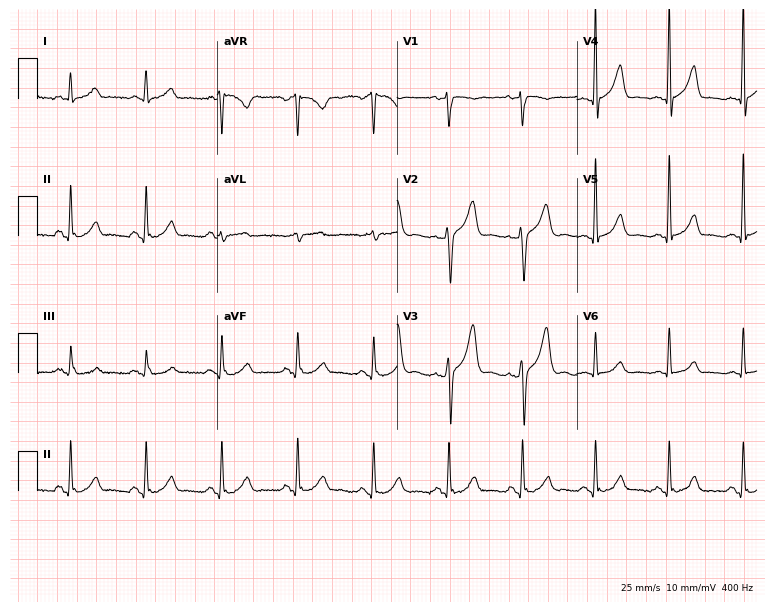
Electrocardiogram, a 51-year-old male patient. Overall reading on record: normal ECG.